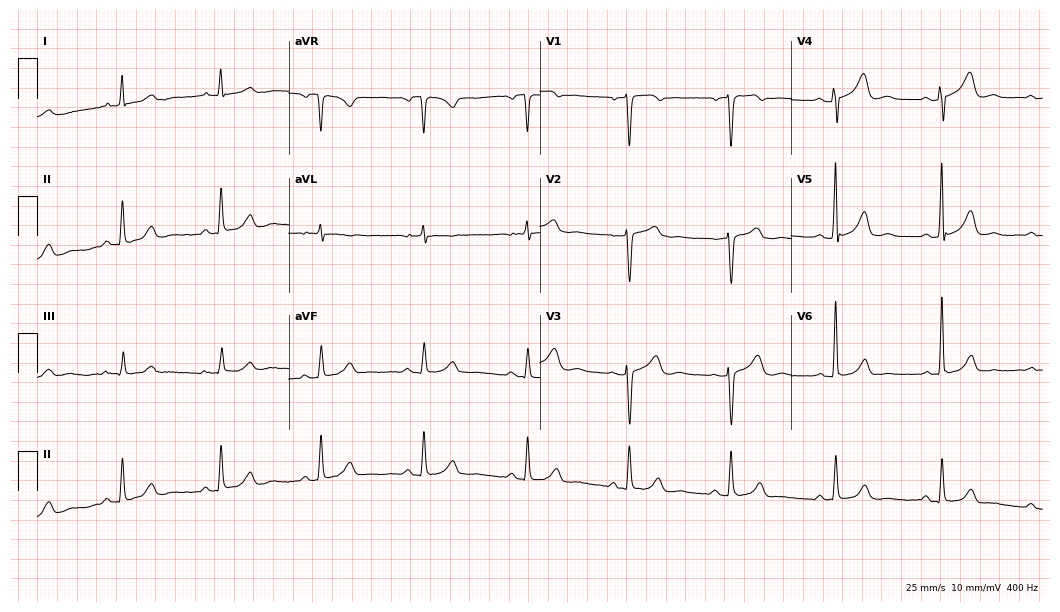
ECG (10.2-second recording at 400 Hz) — a 55-year-old female patient. Screened for six findings — first-degree AV block, right bundle branch block (RBBB), left bundle branch block (LBBB), sinus bradycardia, atrial fibrillation (AF), sinus tachycardia — none is recorded.